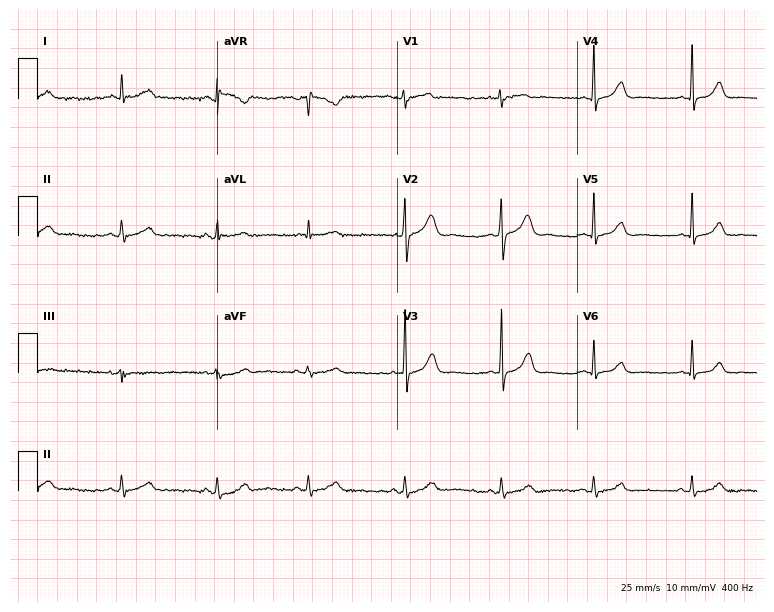
Standard 12-lead ECG recorded from a female patient, 47 years old. None of these six findings is recorded: first-degree AV block, right bundle branch block, left bundle branch block, sinus bradycardia, atrial fibrillation, sinus tachycardia.